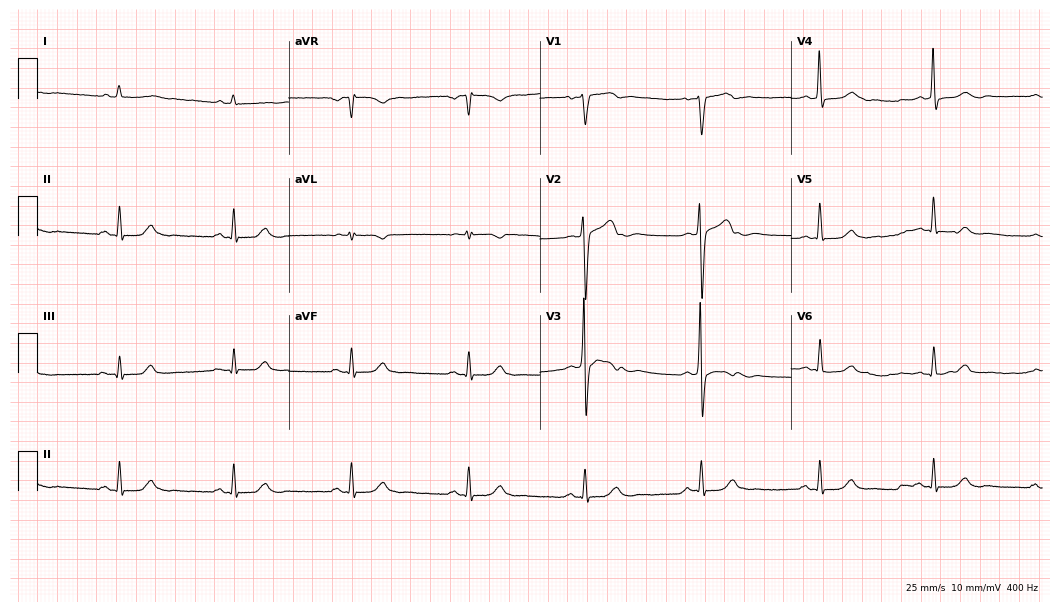
12-lead ECG (10.2-second recording at 400 Hz) from a 71-year-old male. Screened for six findings — first-degree AV block, right bundle branch block, left bundle branch block, sinus bradycardia, atrial fibrillation, sinus tachycardia — none is recorded.